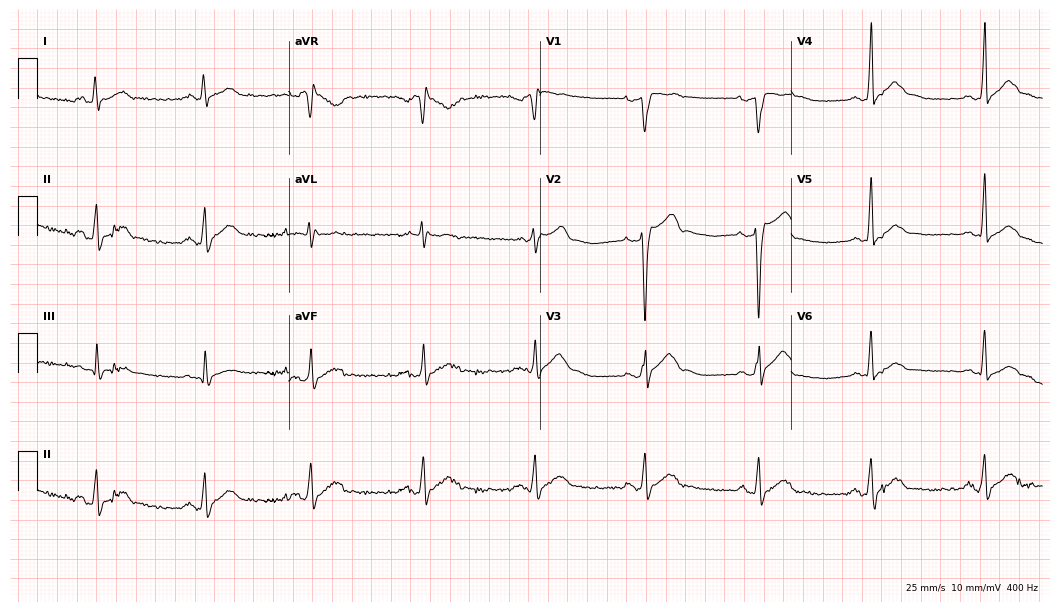
12-lead ECG from a male patient, 33 years old. Screened for six findings — first-degree AV block, right bundle branch block, left bundle branch block, sinus bradycardia, atrial fibrillation, sinus tachycardia — none is recorded.